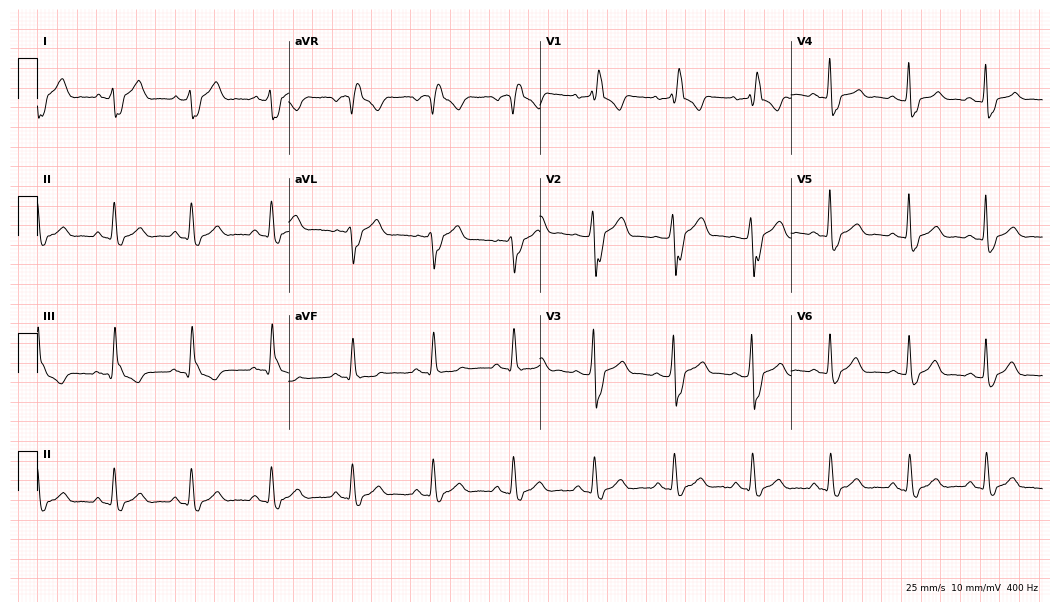
12-lead ECG from a 53-year-old male patient. Findings include right bundle branch block (RBBB).